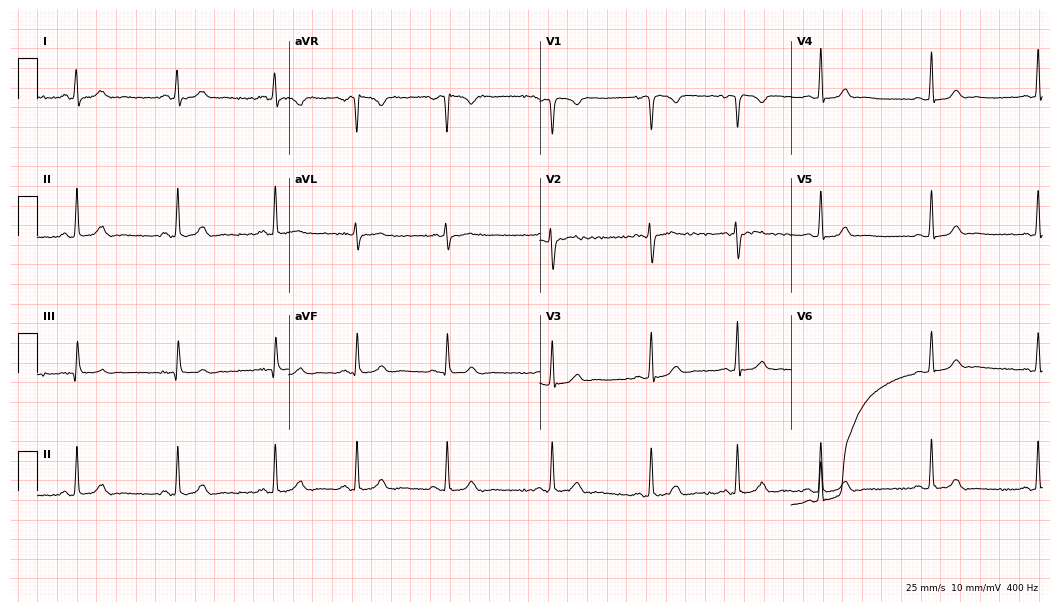
Standard 12-lead ECG recorded from a 19-year-old female patient (10.2-second recording at 400 Hz). Read as a normal ECG.